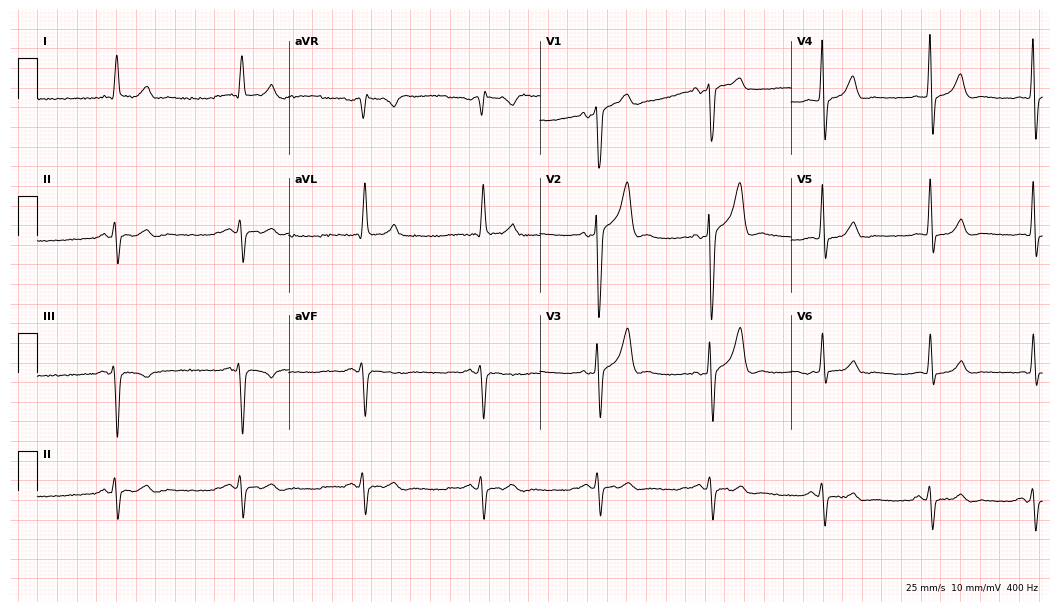
12-lead ECG from a 69-year-old male patient. Shows sinus bradycardia (a sinus rate of 50 beats per minute or less).